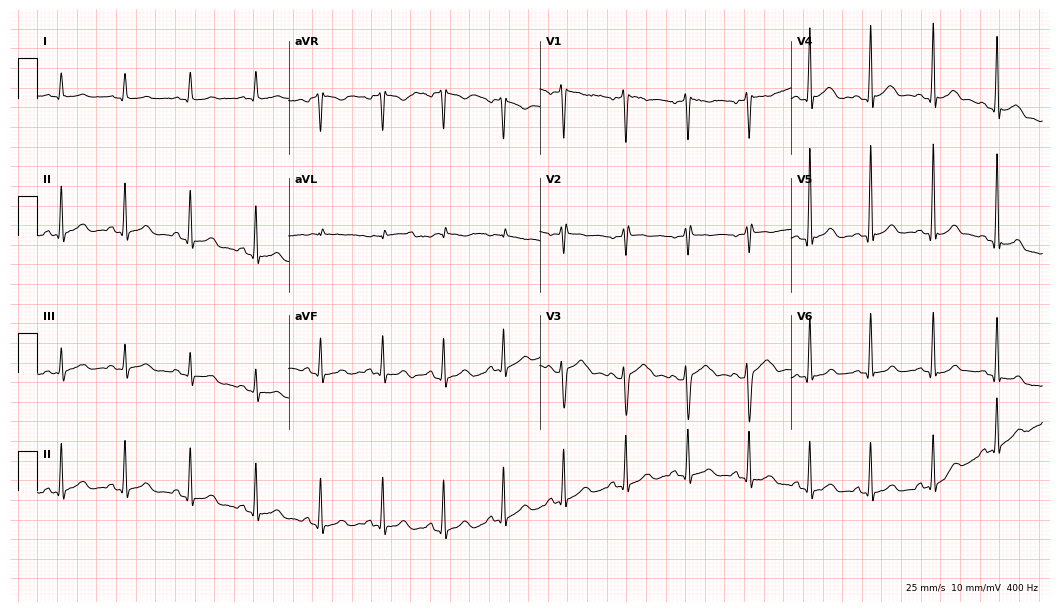
Standard 12-lead ECG recorded from a 34-year-old woman (10.2-second recording at 400 Hz). None of these six findings is recorded: first-degree AV block, right bundle branch block, left bundle branch block, sinus bradycardia, atrial fibrillation, sinus tachycardia. Findings outside these six are not listed.